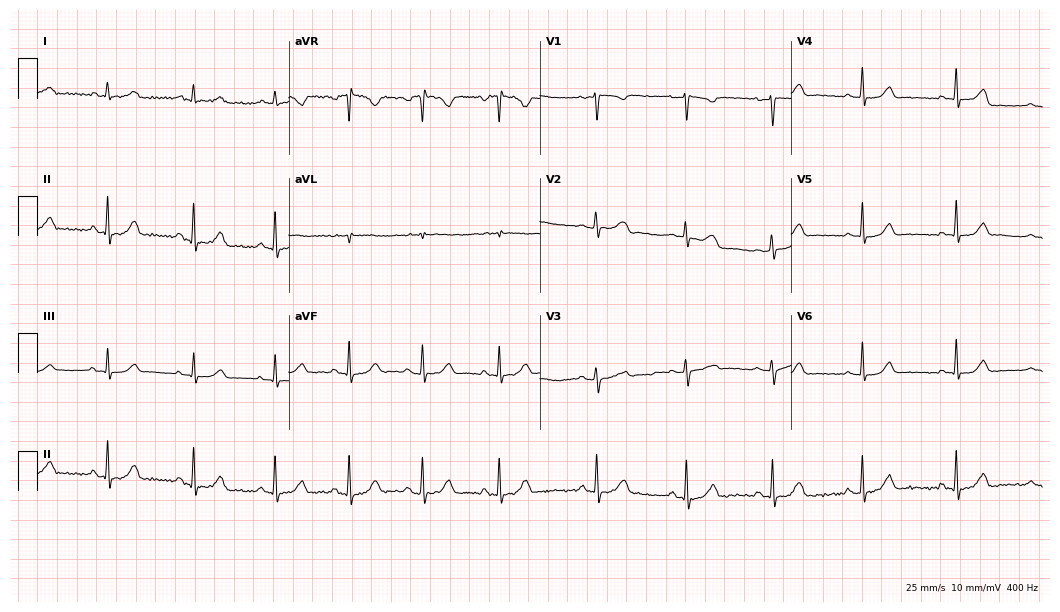
ECG — a female patient, 37 years old. Screened for six findings — first-degree AV block, right bundle branch block, left bundle branch block, sinus bradycardia, atrial fibrillation, sinus tachycardia — none is recorded. Findings outside these six are not listed.